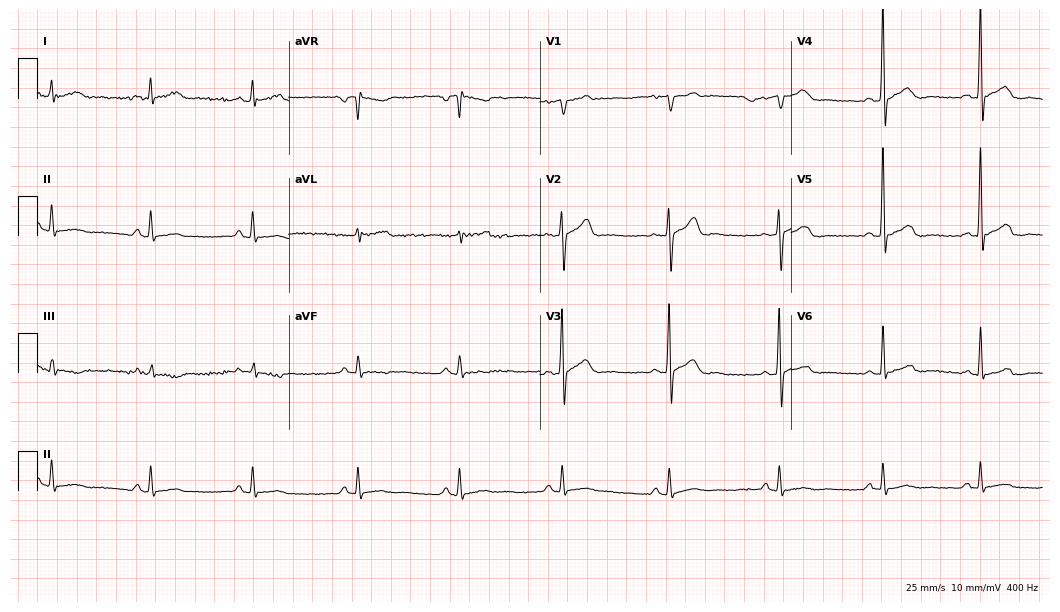
Standard 12-lead ECG recorded from a man, 48 years old. None of these six findings is recorded: first-degree AV block, right bundle branch block, left bundle branch block, sinus bradycardia, atrial fibrillation, sinus tachycardia. Only these six findings were labelled.